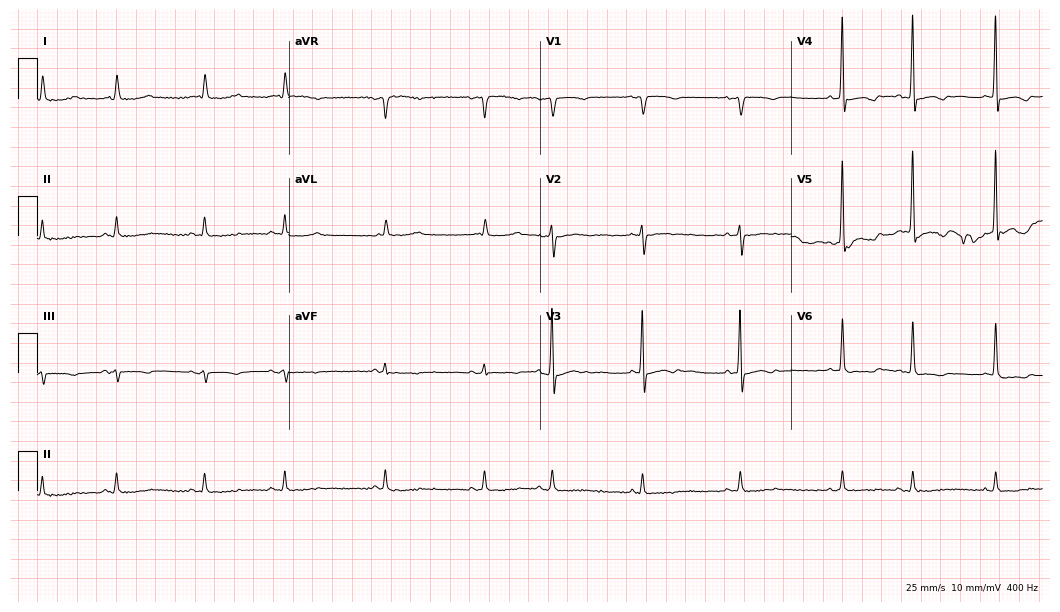
Standard 12-lead ECG recorded from a woman, 81 years old. The tracing shows atrial fibrillation (AF).